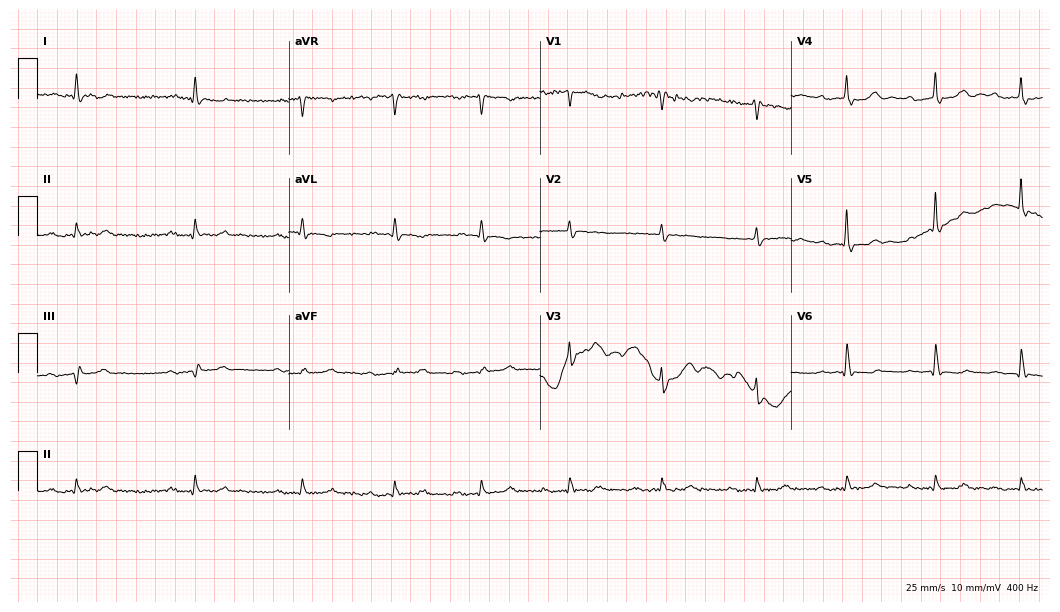
ECG (10.2-second recording at 400 Hz) — a male patient, 80 years old. Screened for six findings — first-degree AV block, right bundle branch block, left bundle branch block, sinus bradycardia, atrial fibrillation, sinus tachycardia — none is recorded. Findings outside these six are not listed.